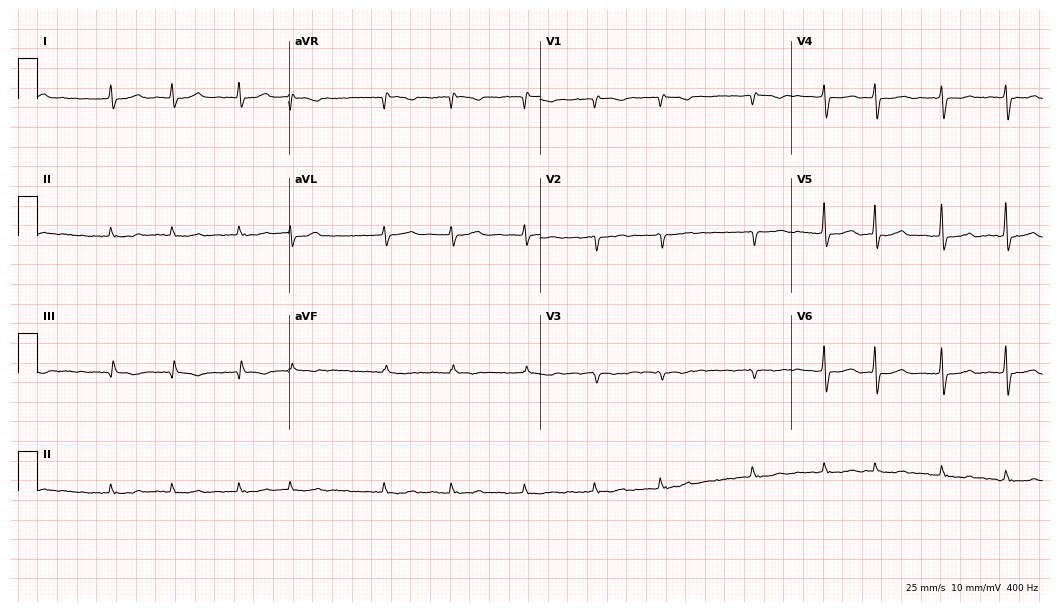
Resting 12-lead electrocardiogram. Patient: a female, 82 years old. The tracing shows atrial fibrillation.